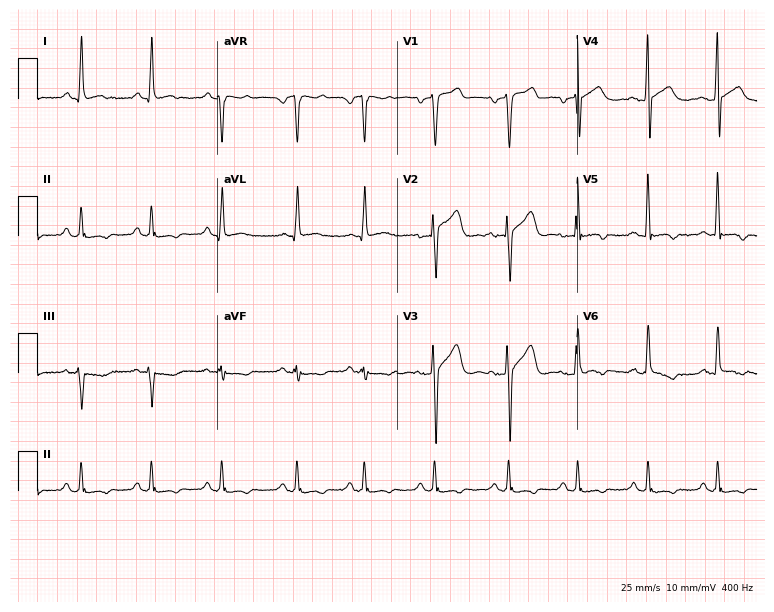
Resting 12-lead electrocardiogram. Patient: a 47-year-old male. Read as a normal ECG.